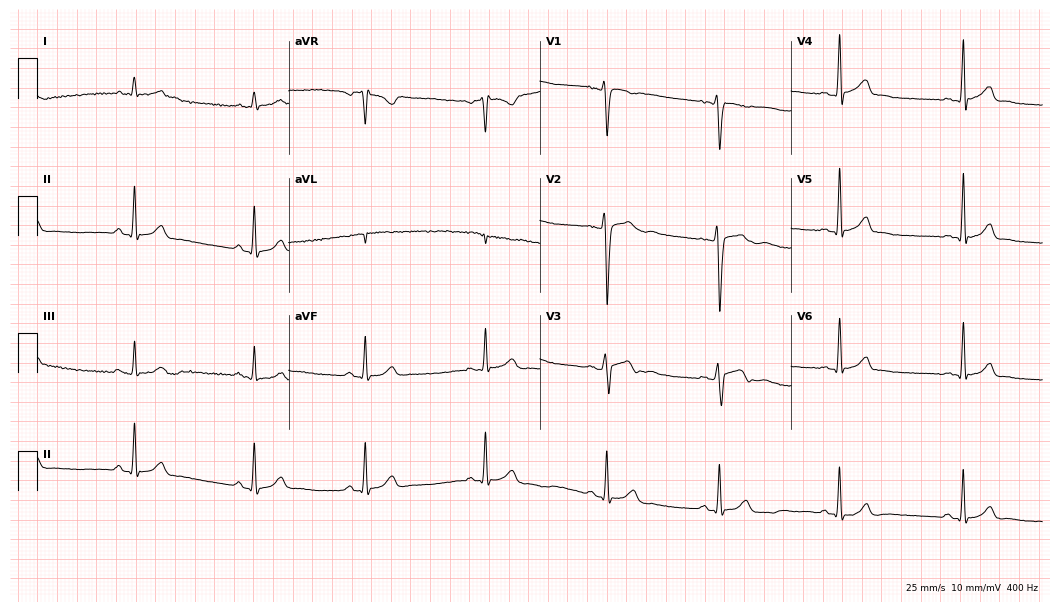
Standard 12-lead ECG recorded from a man, 22 years old (10.2-second recording at 400 Hz). Read as a normal ECG.